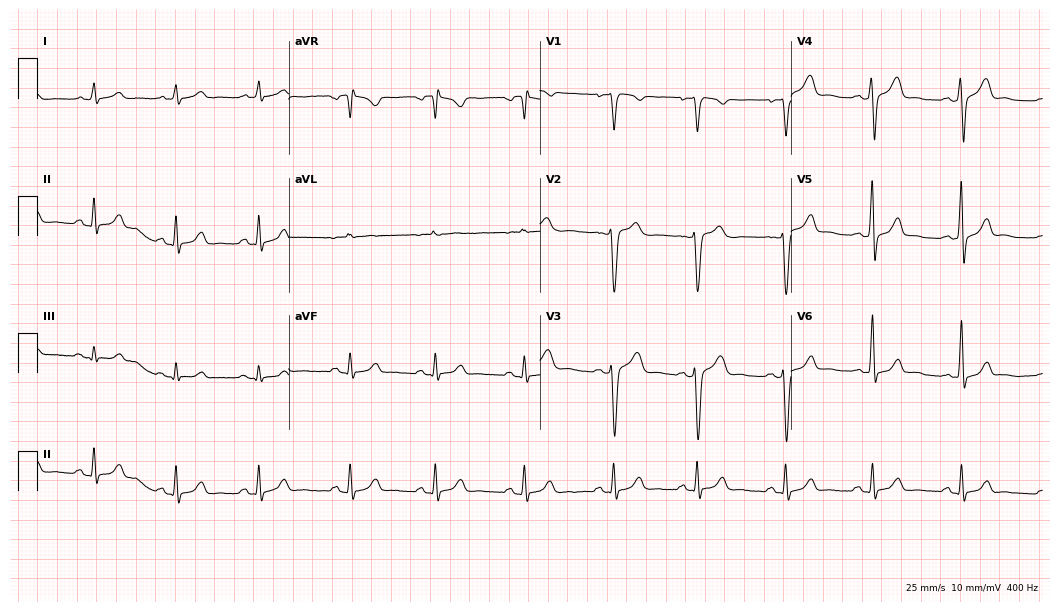
ECG (10.2-second recording at 400 Hz) — a 22-year-old man. Labelled as a normal ECG.